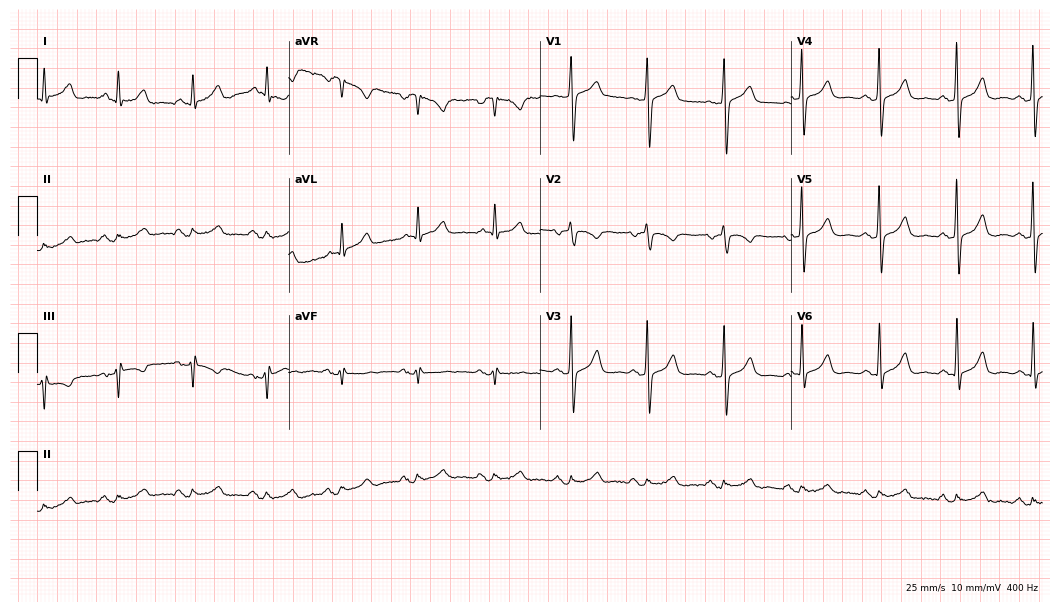
12-lead ECG from a 70-year-old male. No first-degree AV block, right bundle branch block (RBBB), left bundle branch block (LBBB), sinus bradycardia, atrial fibrillation (AF) or sinus tachycardia recorded for this tracing.